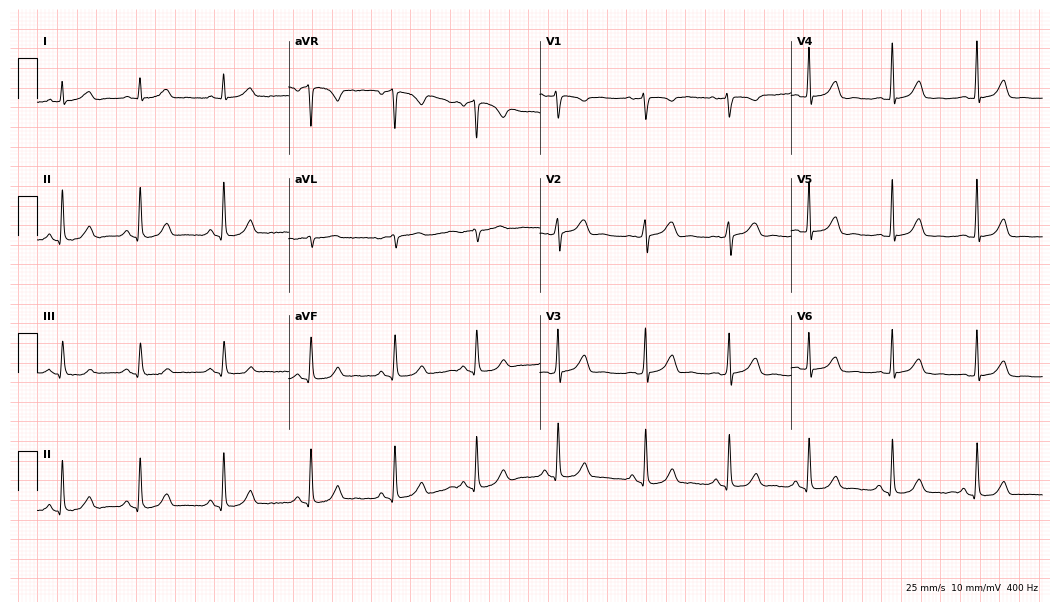
Resting 12-lead electrocardiogram (10.2-second recording at 400 Hz). Patient: a 49-year-old woman. Read as a normal ECG.